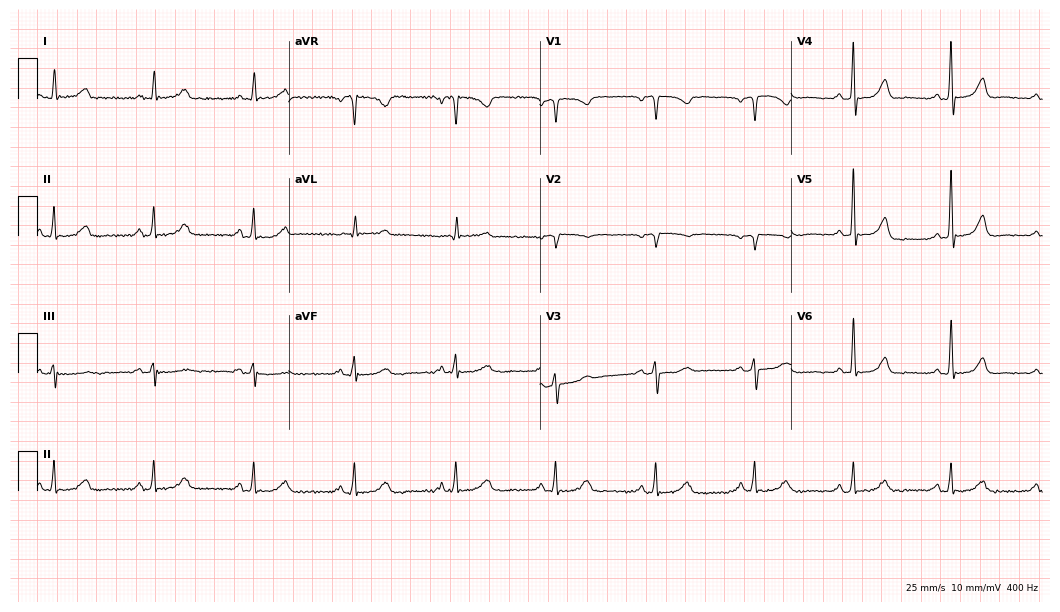
12-lead ECG from a 62-year-old woman (10.2-second recording at 400 Hz). No first-degree AV block, right bundle branch block, left bundle branch block, sinus bradycardia, atrial fibrillation or sinus tachycardia recorded for this tracing. Only these six findings were labelled.